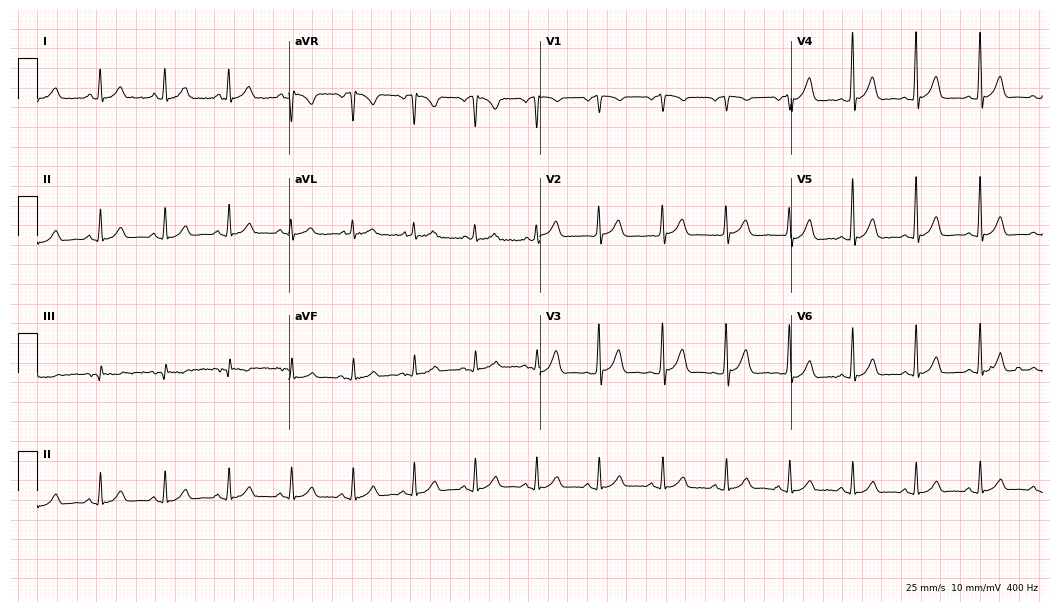
Electrocardiogram (10.2-second recording at 400 Hz), a 49-year-old female. Overall reading on record: normal ECG.